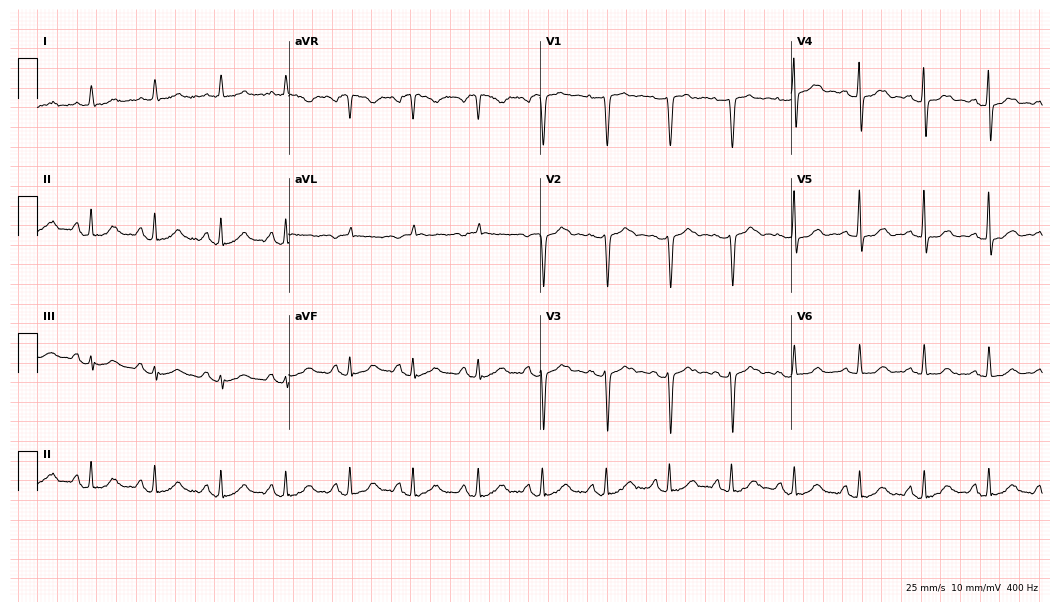
12-lead ECG from a female, 76 years old. No first-degree AV block, right bundle branch block (RBBB), left bundle branch block (LBBB), sinus bradycardia, atrial fibrillation (AF) or sinus tachycardia recorded for this tracing. Findings outside these six are not listed.